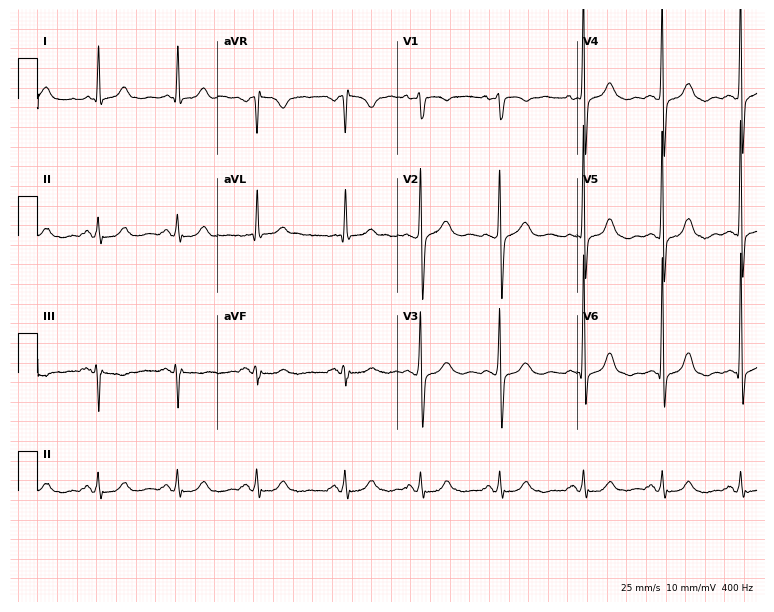
ECG — a man, 67 years old. Labelled as a normal ECG.